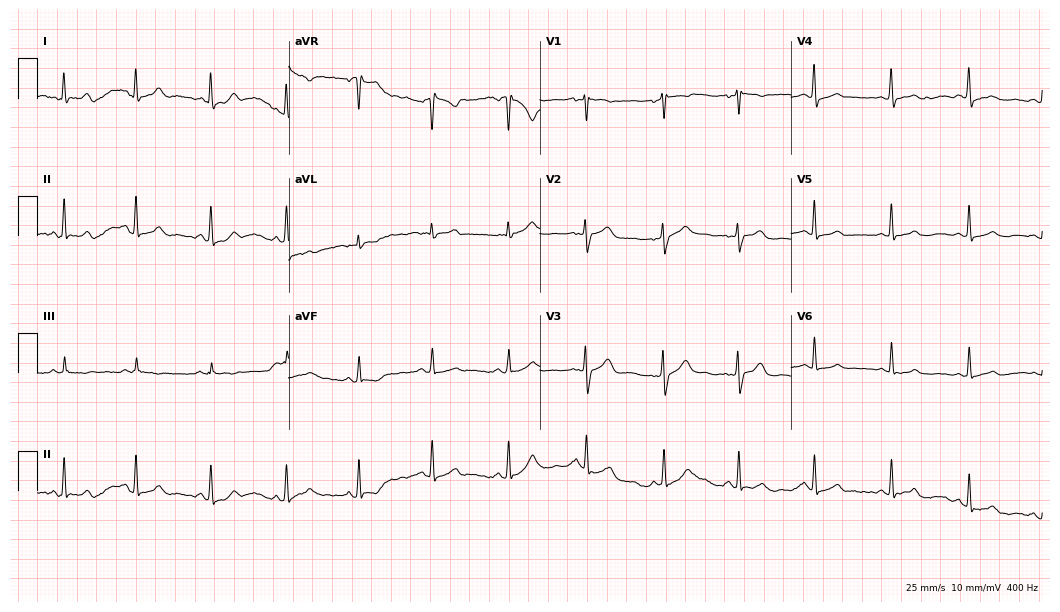
Standard 12-lead ECG recorded from a 45-year-old woman. Read as a normal ECG.